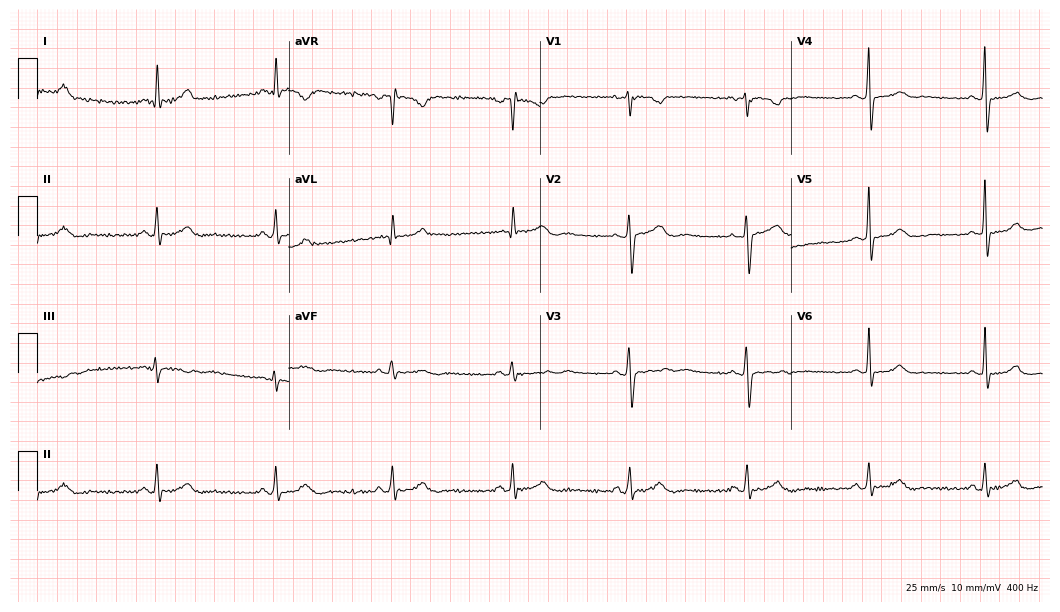
Electrocardiogram (10.2-second recording at 400 Hz), a 39-year-old female patient. Of the six screened findings (first-degree AV block, right bundle branch block, left bundle branch block, sinus bradycardia, atrial fibrillation, sinus tachycardia), none is recorded. Only these six findings were labelled.